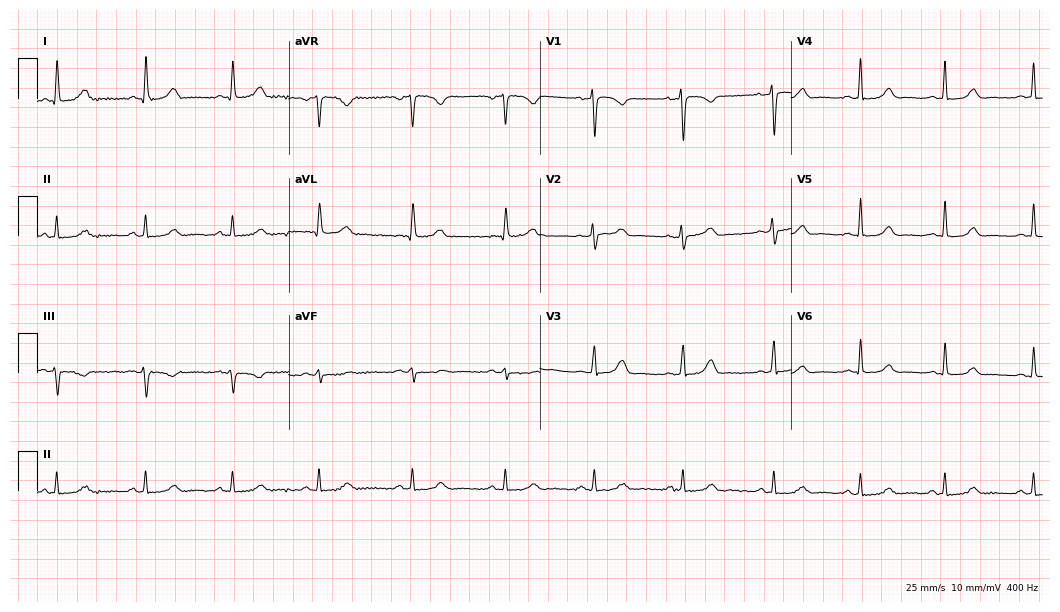
12-lead ECG from a 48-year-old female patient (10.2-second recording at 400 Hz). No first-degree AV block, right bundle branch block (RBBB), left bundle branch block (LBBB), sinus bradycardia, atrial fibrillation (AF) or sinus tachycardia recorded for this tracing. Only these six findings were labelled.